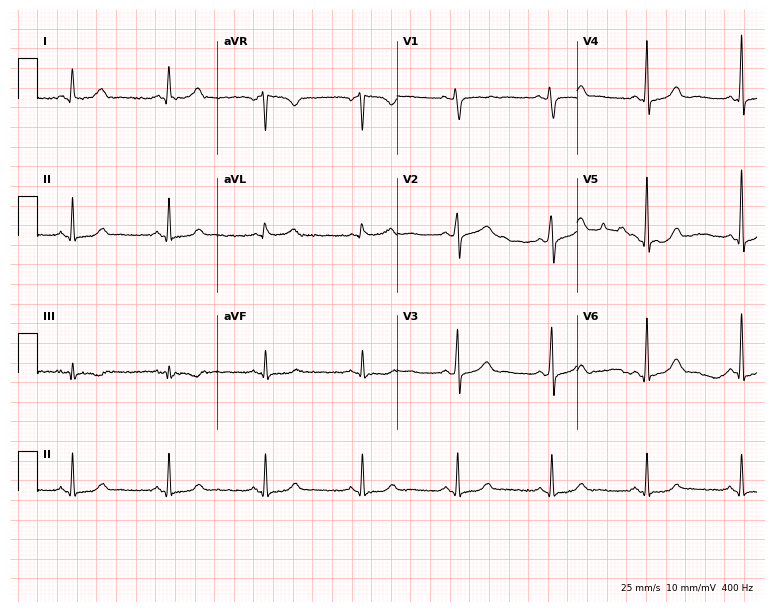
ECG — a female, 37 years old. Labelled as a normal ECG.